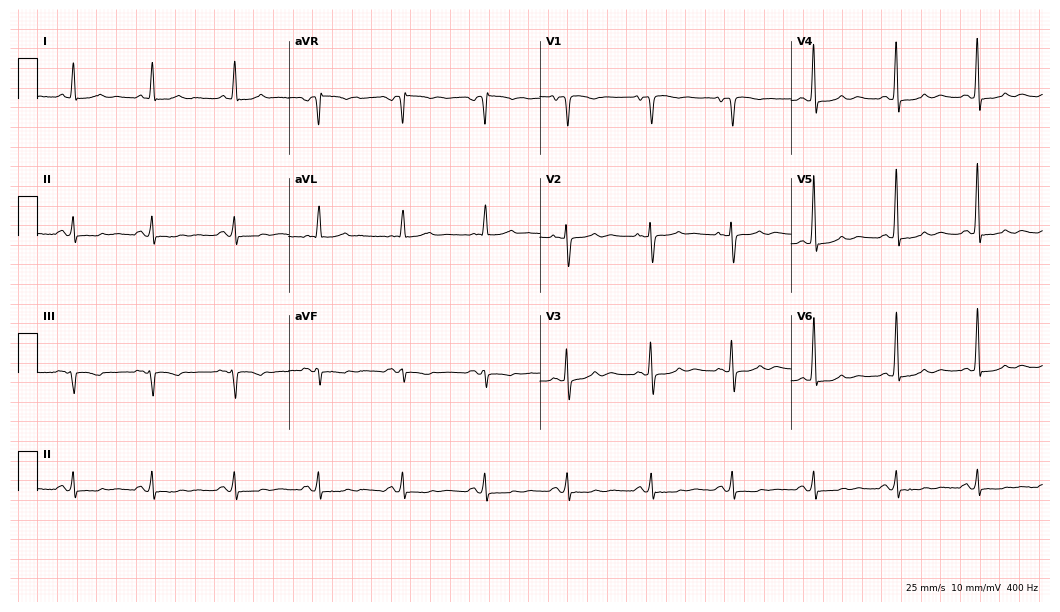
Standard 12-lead ECG recorded from a female, 77 years old. None of these six findings is recorded: first-degree AV block, right bundle branch block (RBBB), left bundle branch block (LBBB), sinus bradycardia, atrial fibrillation (AF), sinus tachycardia.